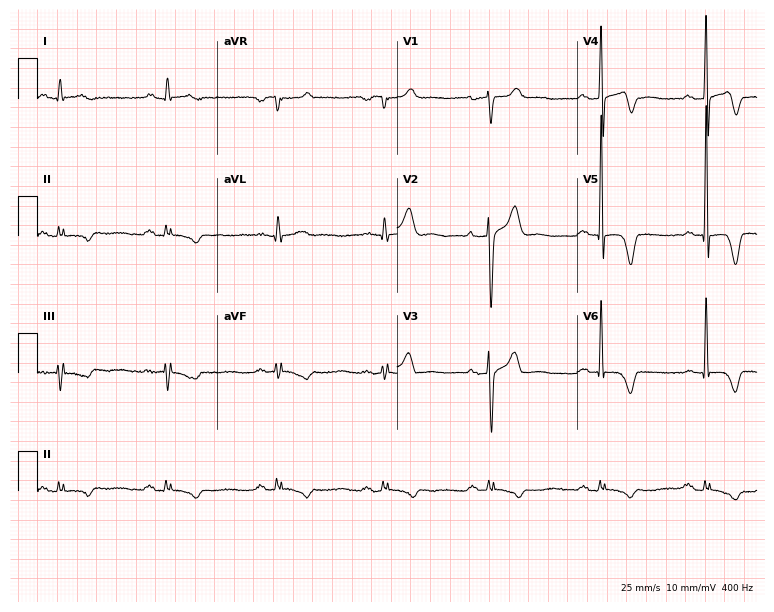
12-lead ECG (7.3-second recording at 400 Hz) from a man, 64 years old. Screened for six findings — first-degree AV block, right bundle branch block (RBBB), left bundle branch block (LBBB), sinus bradycardia, atrial fibrillation (AF), sinus tachycardia — none is recorded.